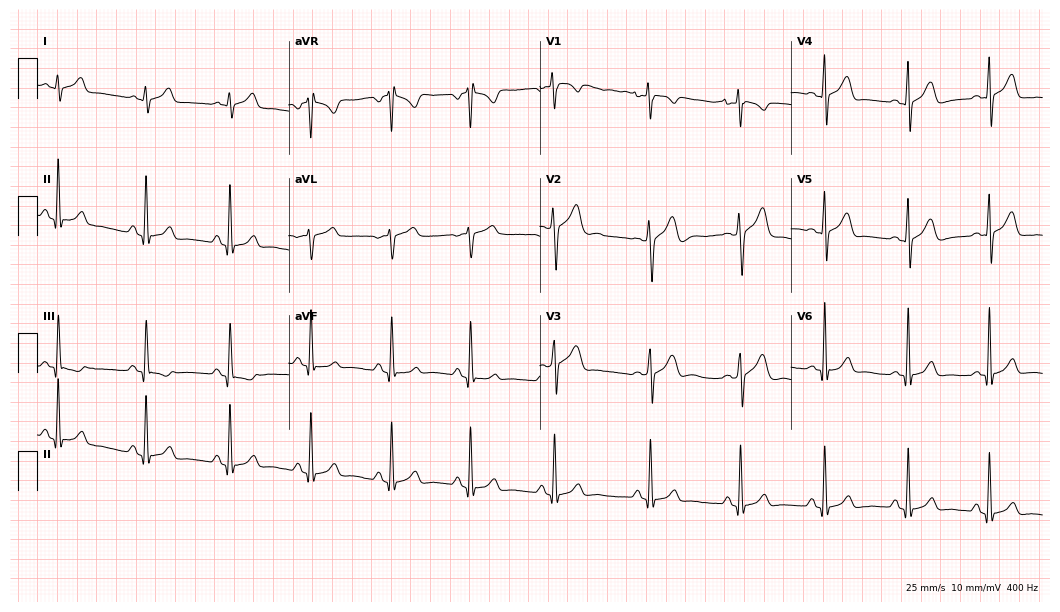
ECG (10.2-second recording at 400 Hz) — a male patient, 27 years old. Labelled as a normal ECG.